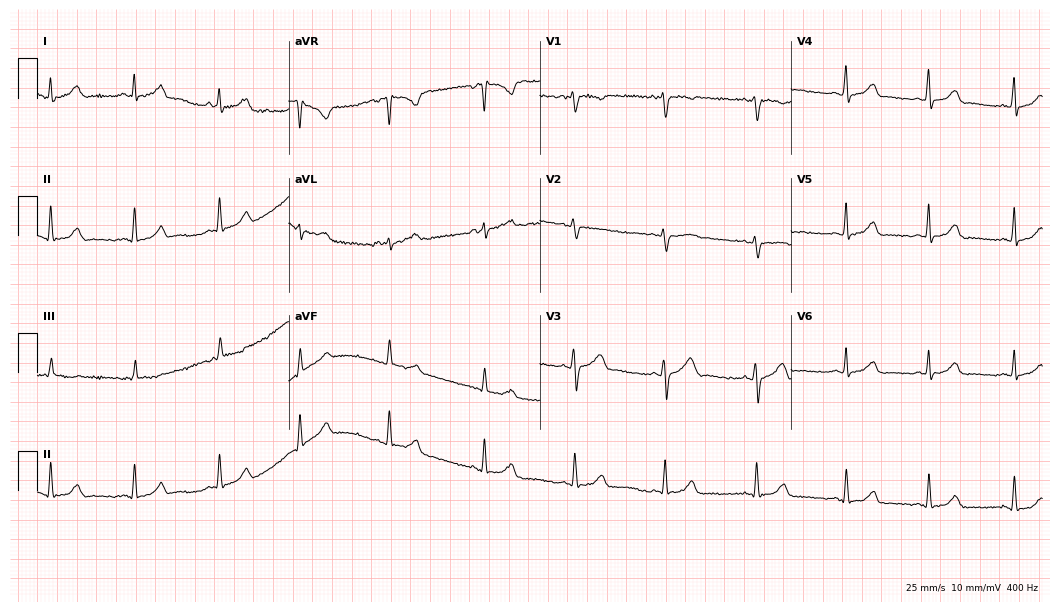
Standard 12-lead ECG recorded from a female, 23 years old (10.2-second recording at 400 Hz). None of these six findings is recorded: first-degree AV block, right bundle branch block, left bundle branch block, sinus bradycardia, atrial fibrillation, sinus tachycardia. Findings outside these six are not listed.